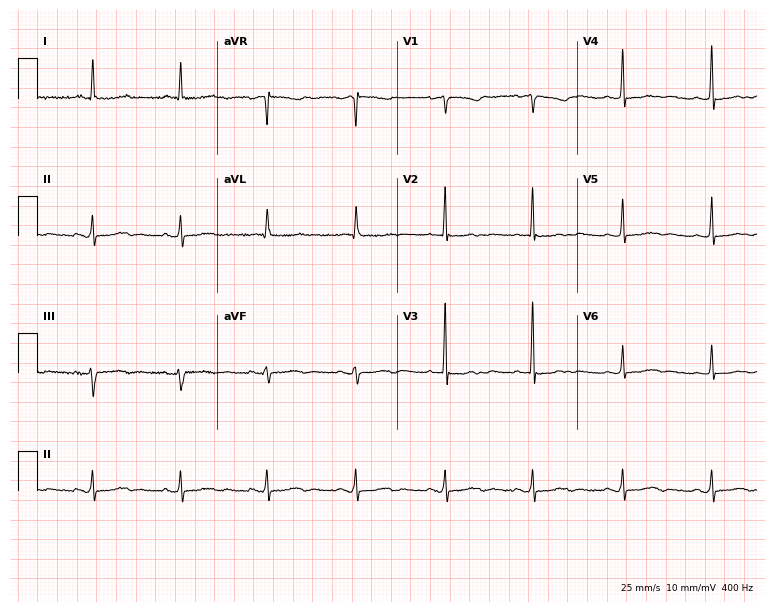
Standard 12-lead ECG recorded from a female patient, 64 years old. None of these six findings is recorded: first-degree AV block, right bundle branch block (RBBB), left bundle branch block (LBBB), sinus bradycardia, atrial fibrillation (AF), sinus tachycardia.